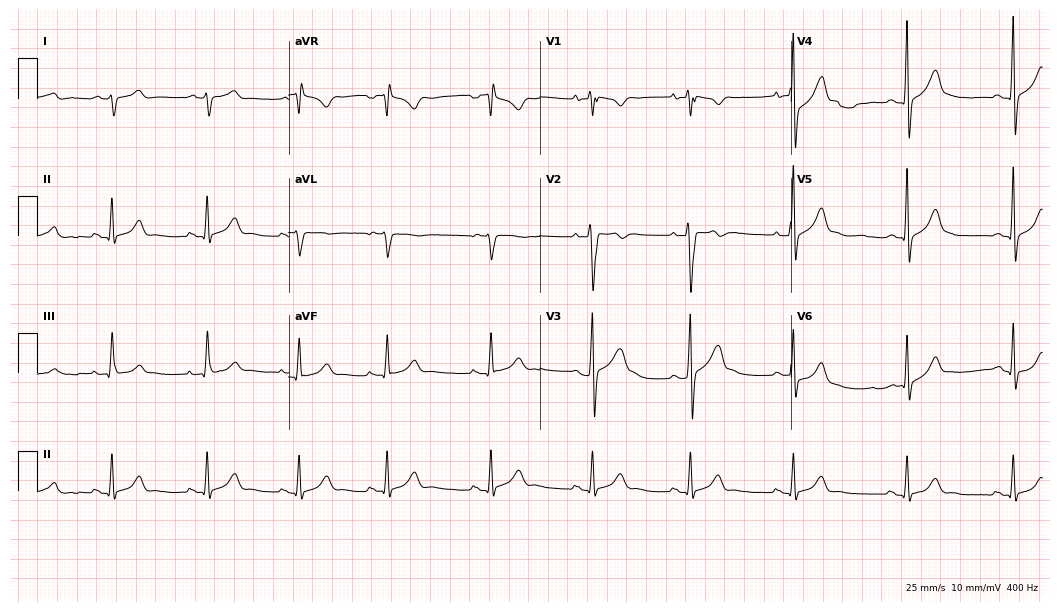
12-lead ECG from a female, 18 years old. Labelled as a normal ECG.